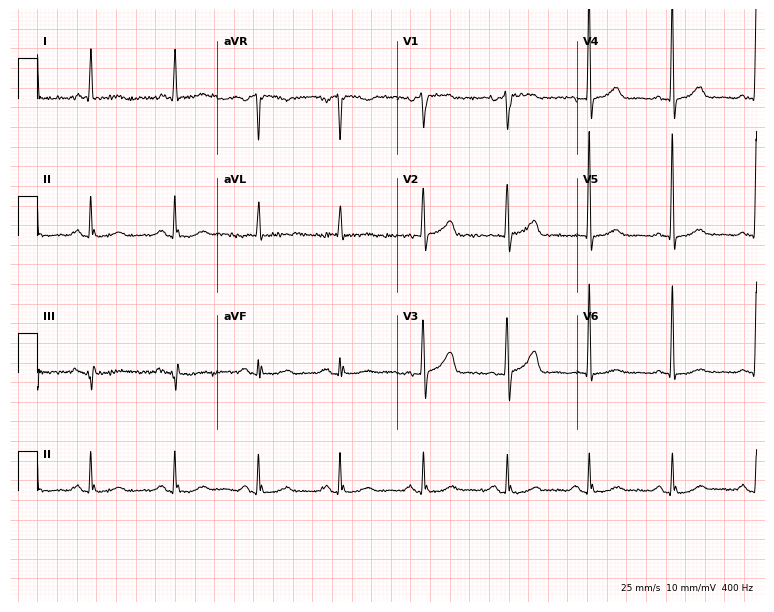
Resting 12-lead electrocardiogram (7.3-second recording at 400 Hz). Patient: a 75-year-old female. None of these six findings is recorded: first-degree AV block, right bundle branch block (RBBB), left bundle branch block (LBBB), sinus bradycardia, atrial fibrillation (AF), sinus tachycardia.